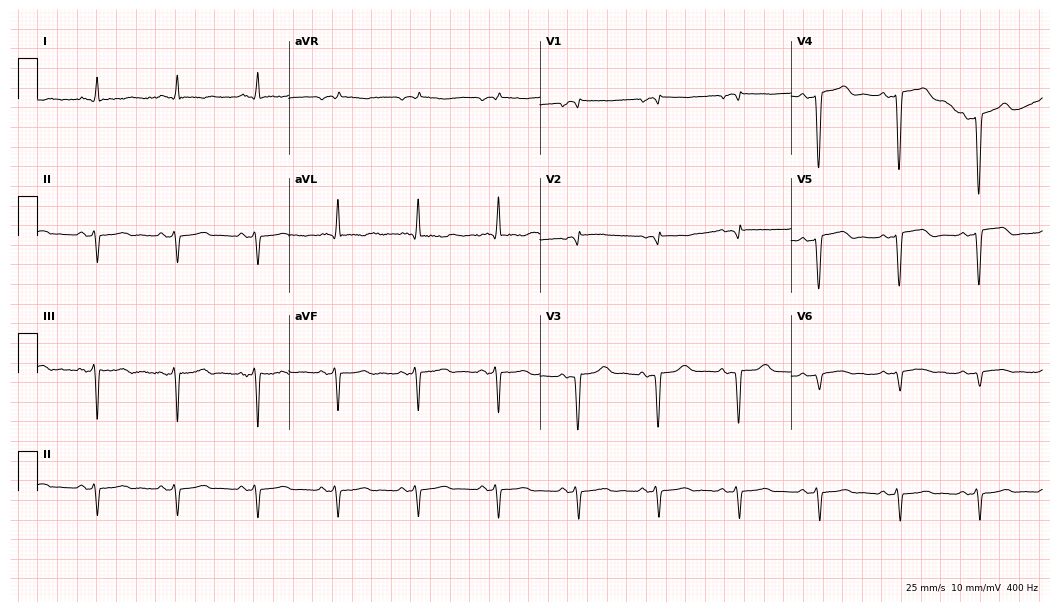
12-lead ECG from a male, 58 years old (10.2-second recording at 400 Hz). No first-degree AV block, right bundle branch block (RBBB), left bundle branch block (LBBB), sinus bradycardia, atrial fibrillation (AF) or sinus tachycardia recorded for this tracing.